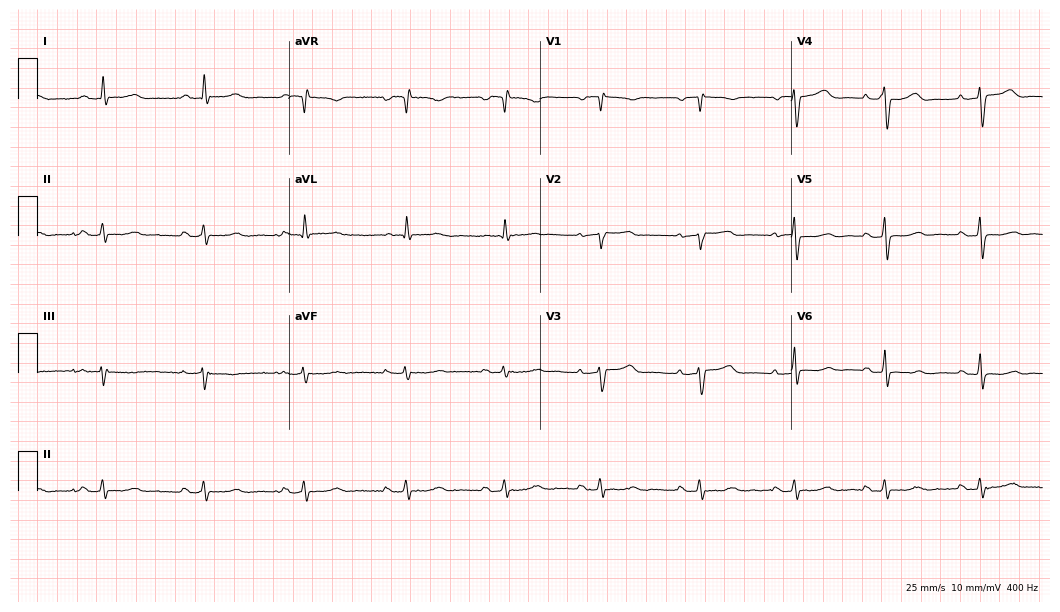
12-lead ECG from a 63-year-old female patient (10.2-second recording at 400 Hz). Recorded interpretation: within normal limits.